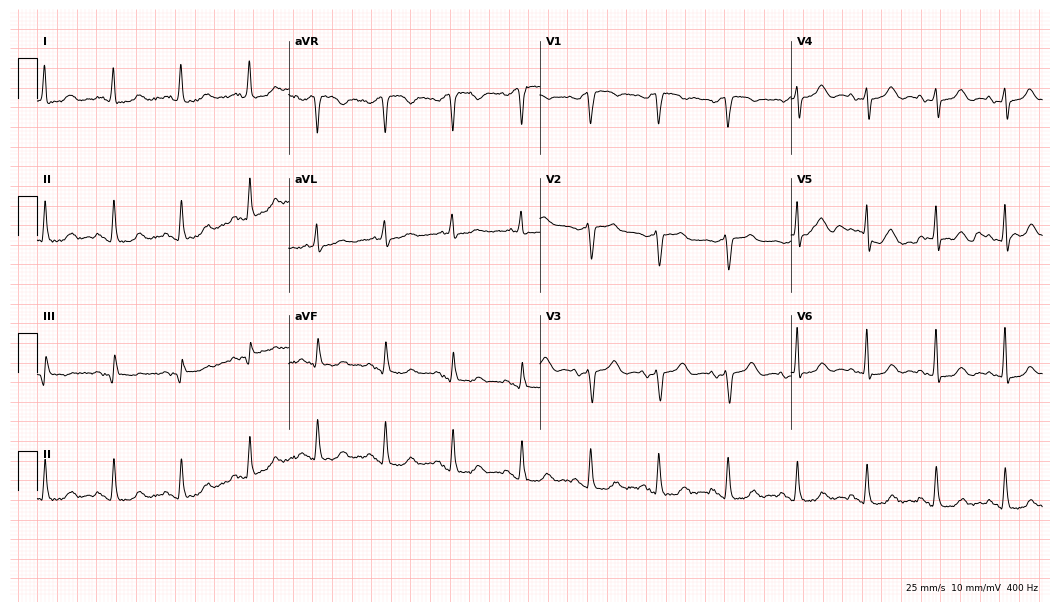
Resting 12-lead electrocardiogram (10.2-second recording at 400 Hz). Patient: a woman, 76 years old. None of these six findings is recorded: first-degree AV block, right bundle branch block, left bundle branch block, sinus bradycardia, atrial fibrillation, sinus tachycardia. Findings outside these six are not listed.